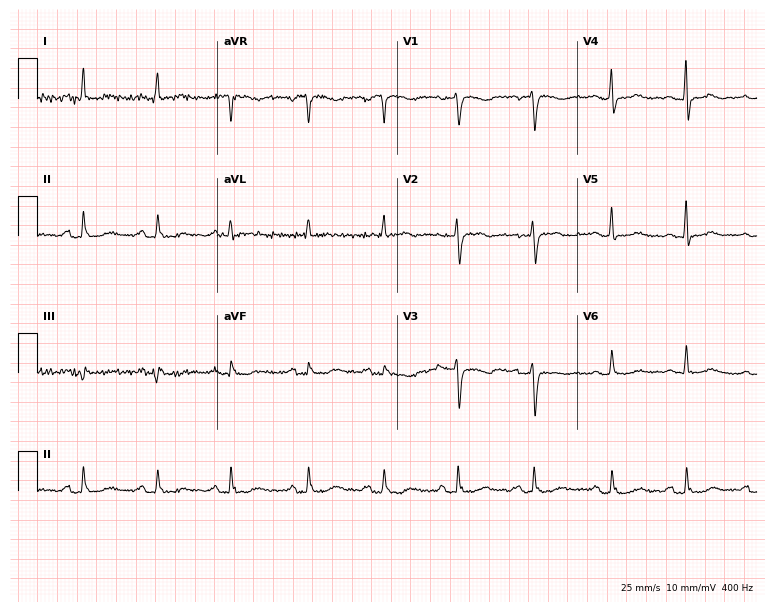
Standard 12-lead ECG recorded from a 65-year-old female (7.3-second recording at 400 Hz). None of these six findings is recorded: first-degree AV block, right bundle branch block, left bundle branch block, sinus bradycardia, atrial fibrillation, sinus tachycardia. Other findings, if any, are not listed.